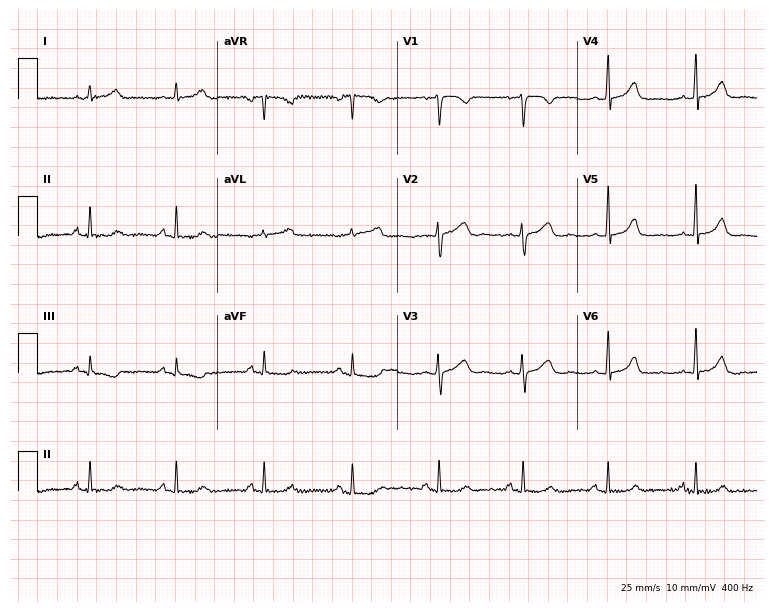
Resting 12-lead electrocardiogram. Patient: a woman, 49 years old. None of these six findings is recorded: first-degree AV block, right bundle branch block, left bundle branch block, sinus bradycardia, atrial fibrillation, sinus tachycardia.